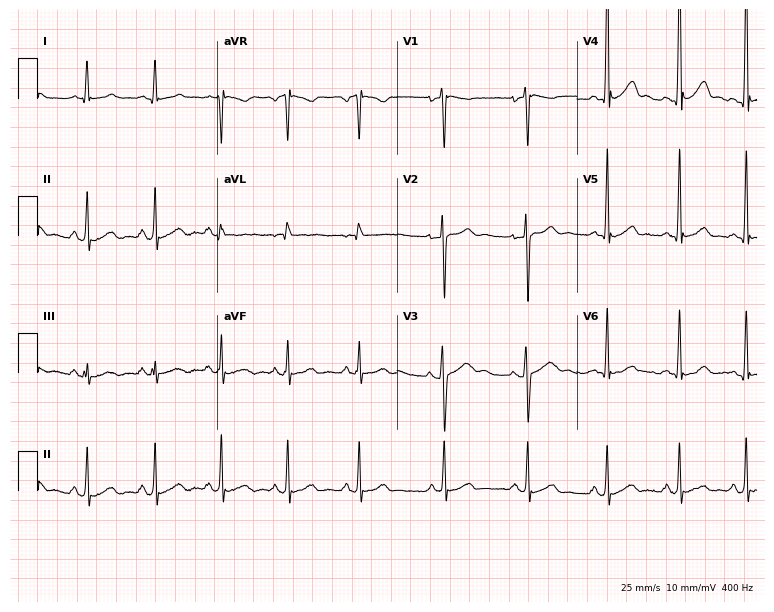
Electrocardiogram, a 17-year-old man. Overall reading on record: normal ECG.